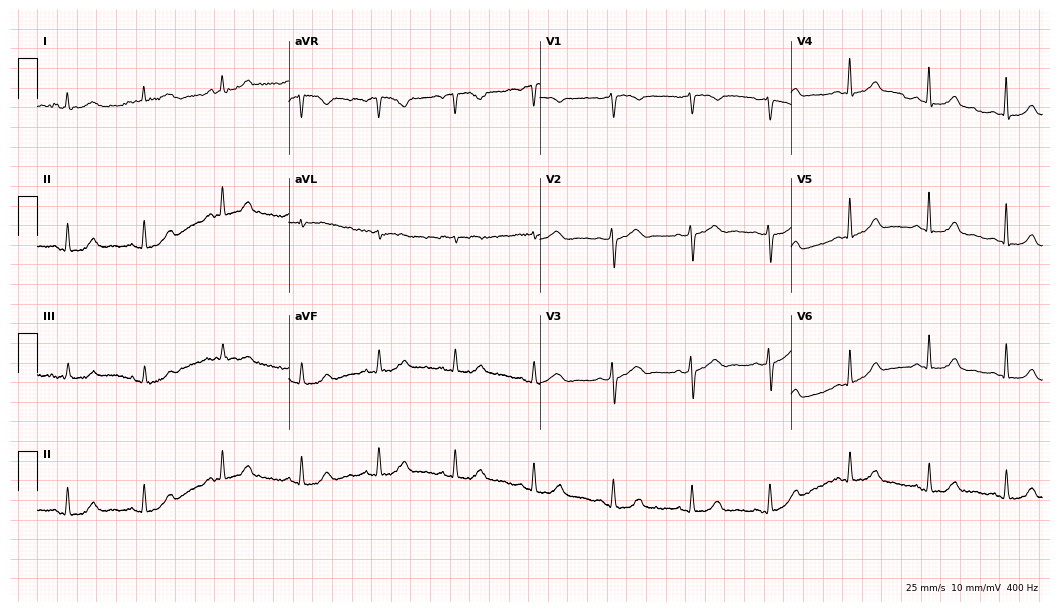
Standard 12-lead ECG recorded from a woman, 47 years old. Read as a normal ECG.